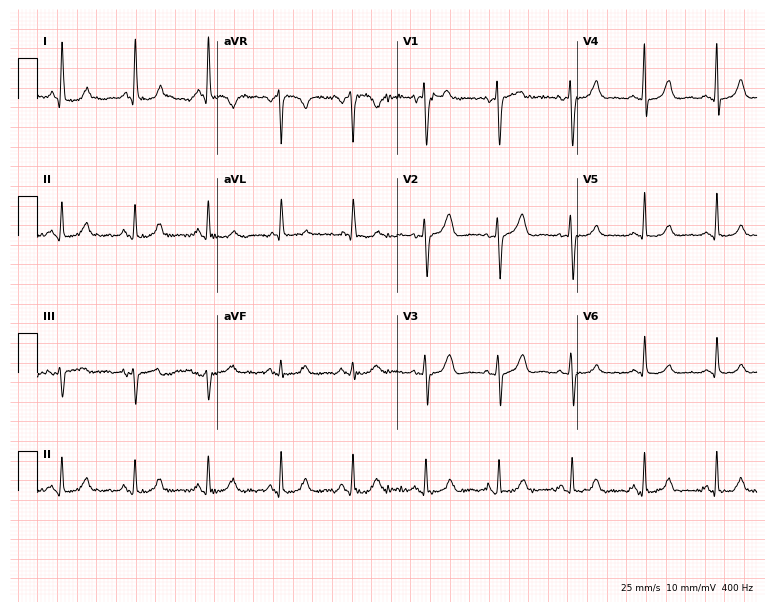
ECG — a female patient, 75 years old. Screened for six findings — first-degree AV block, right bundle branch block, left bundle branch block, sinus bradycardia, atrial fibrillation, sinus tachycardia — none is recorded. Findings outside these six are not listed.